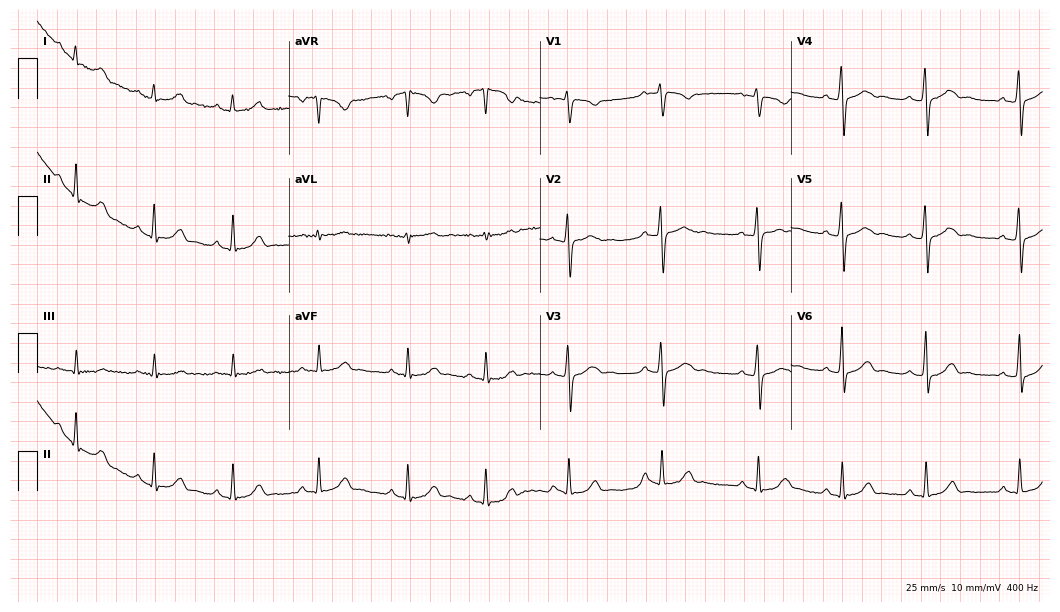
Resting 12-lead electrocardiogram (10.2-second recording at 400 Hz). Patient: an 18-year-old female. Read as a normal ECG.